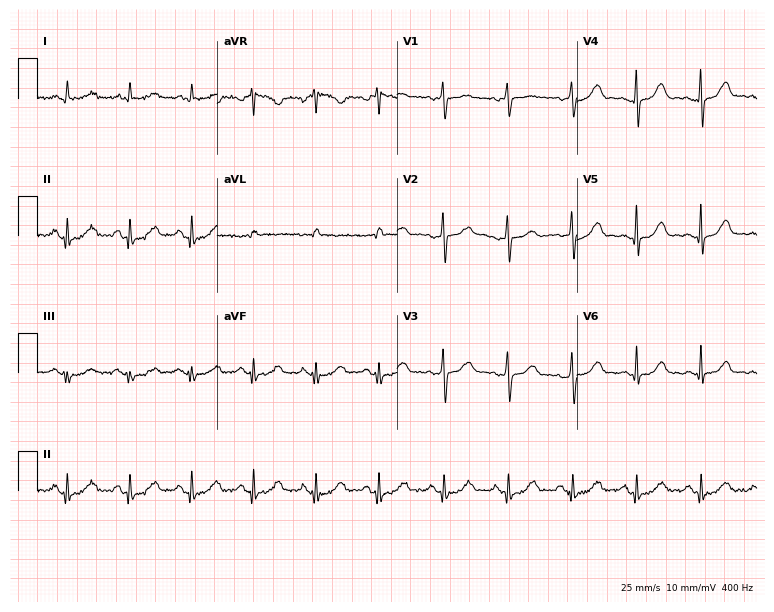
12-lead ECG from a female, 67 years old (7.3-second recording at 400 Hz). Recorded interpretation: within normal limits.